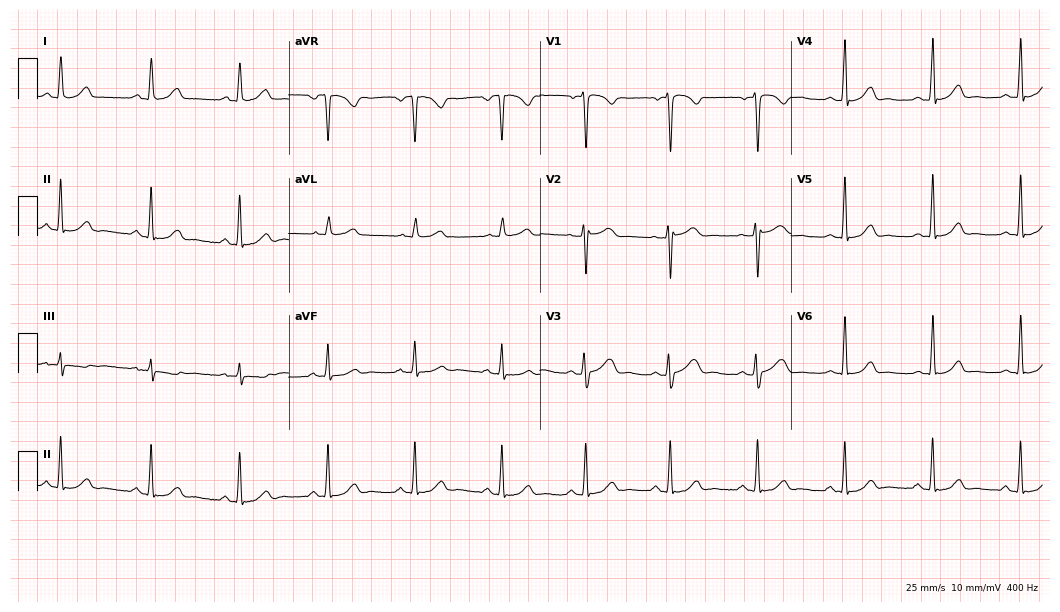
Standard 12-lead ECG recorded from a 36-year-old woman (10.2-second recording at 400 Hz). None of these six findings is recorded: first-degree AV block, right bundle branch block (RBBB), left bundle branch block (LBBB), sinus bradycardia, atrial fibrillation (AF), sinus tachycardia.